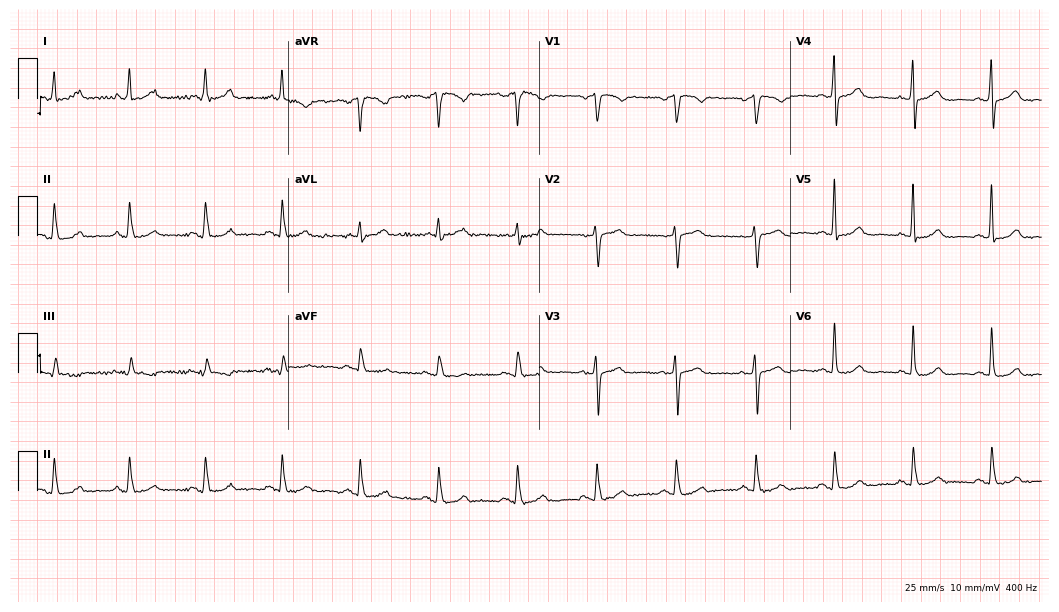
Resting 12-lead electrocardiogram. Patient: a woman, 66 years old. Read as a normal ECG.